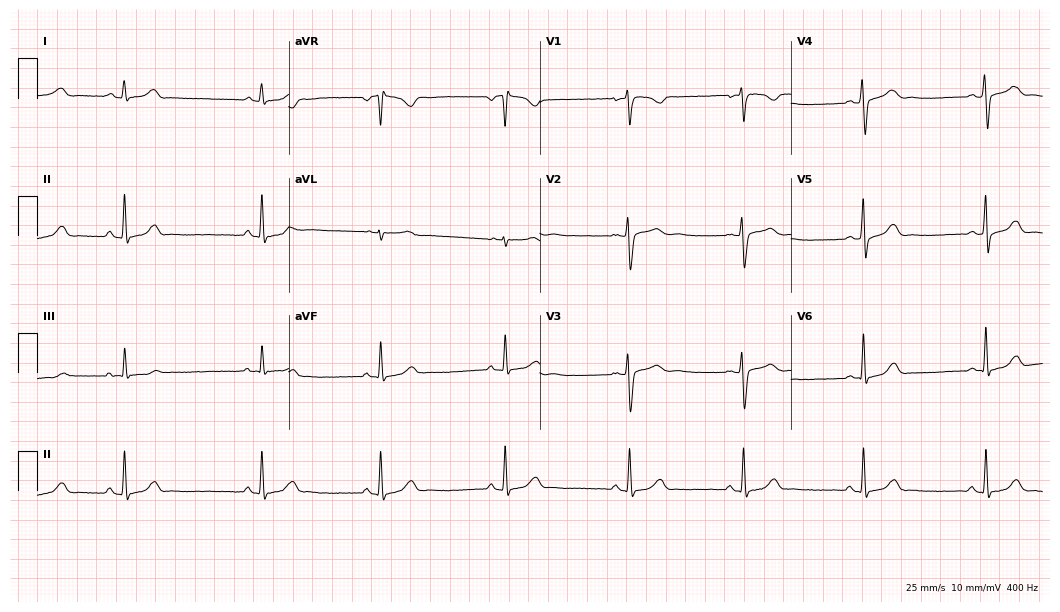
12-lead ECG (10.2-second recording at 400 Hz) from a female, 22 years old. Screened for six findings — first-degree AV block, right bundle branch block (RBBB), left bundle branch block (LBBB), sinus bradycardia, atrial fibrillation (AF), sinus tachycardia — none is recorded.